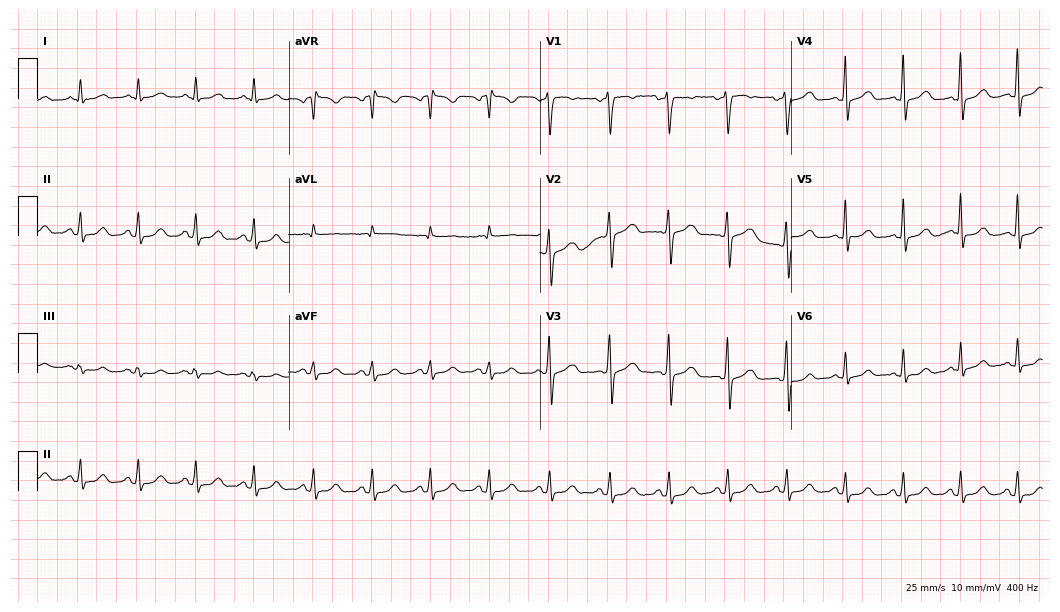
Resting 12-lead electrocardiogram (10.2-second recording at 400 Hz). Patient: a woman, 48 years old. Read as a normal ECG.